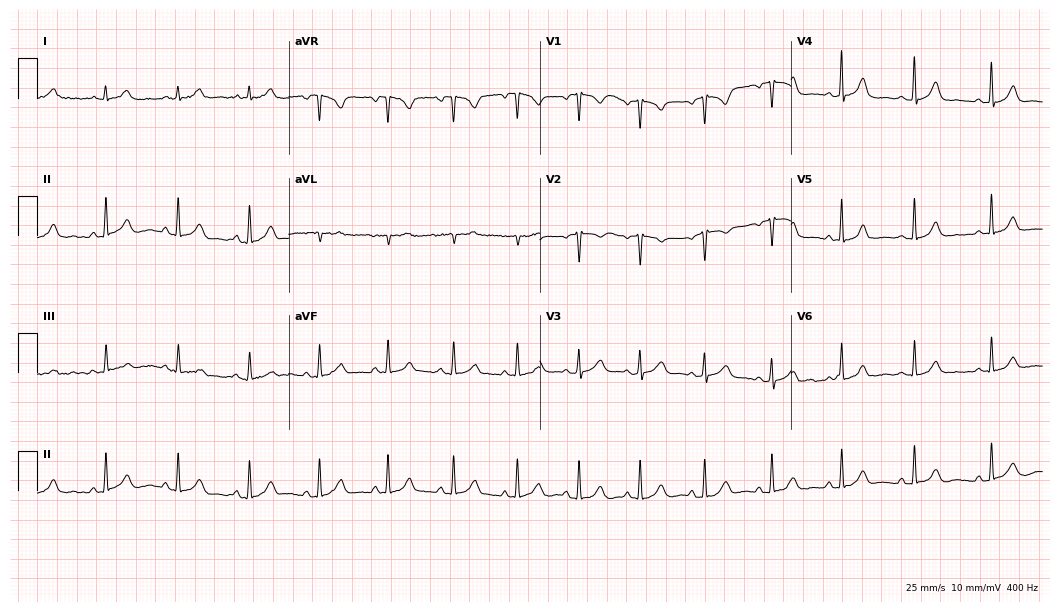
Resting 12-lead electrocardiogram (10.2-second recording at 400 Hz). Patient: a female, 43 years old. Read as a normal ECG.